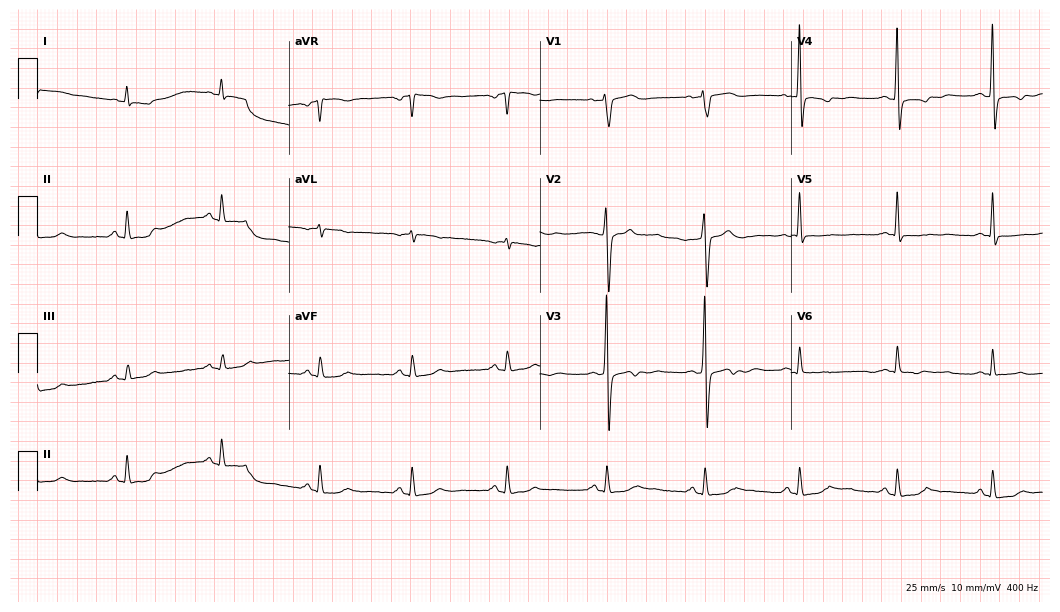
Standard 12-lead ECG recorded from a 54-year-old female (10.2-second recording at 400 Hz). None of these six findings is recorded: first-degree AV block, right bundle branch block (RBBB), left bundle branch block (LBBB), sinus bradycardia, atrial fibrillation (AF), sinus tachycardia. Findings outside these six are not listed.